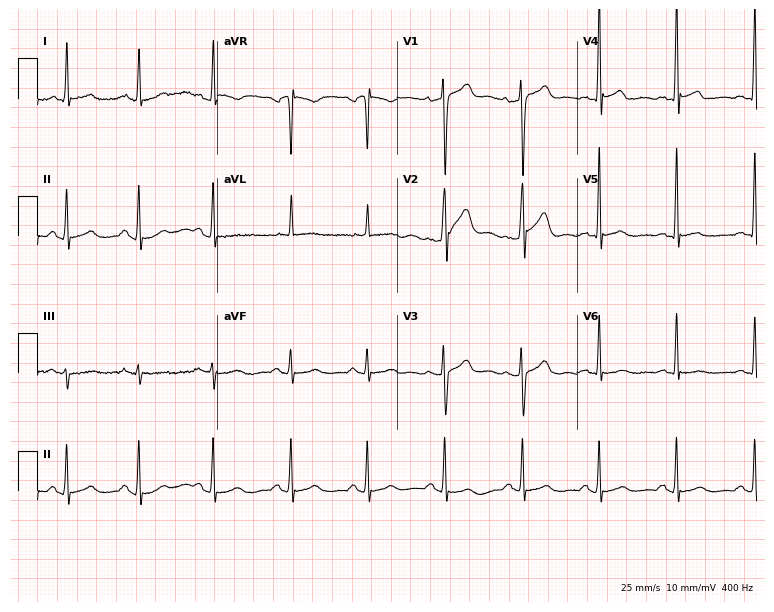
Standard 12-lead ECG recorded from a 26-year-old male (7.3-second recording at 400 Hz). Read as a normal ECG.